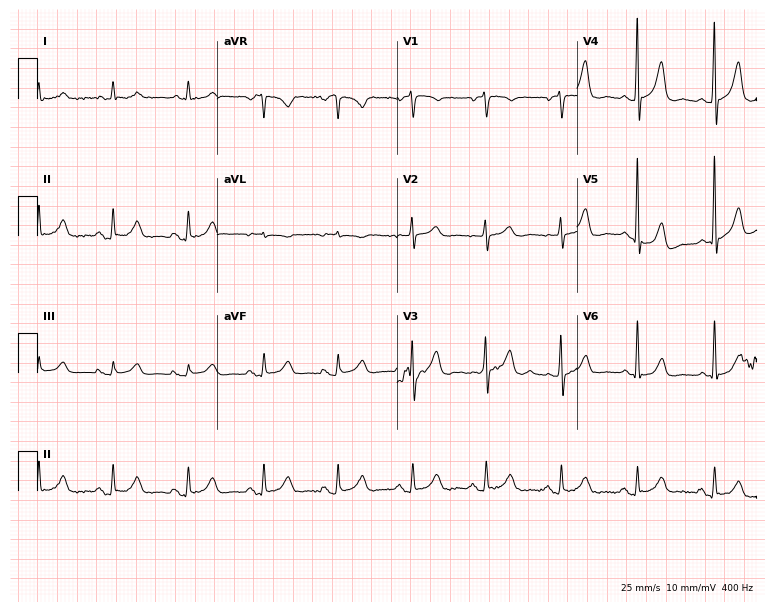
Electrocardiogram, an 82-year-old woman. Of the six screened findings (first-degree AV block, right bundle branch block (RBBB), left bundle branch block (LBBB), sinus bradycardia, atrial fibrillation (AF), sinus tachycardia), none is recorded.